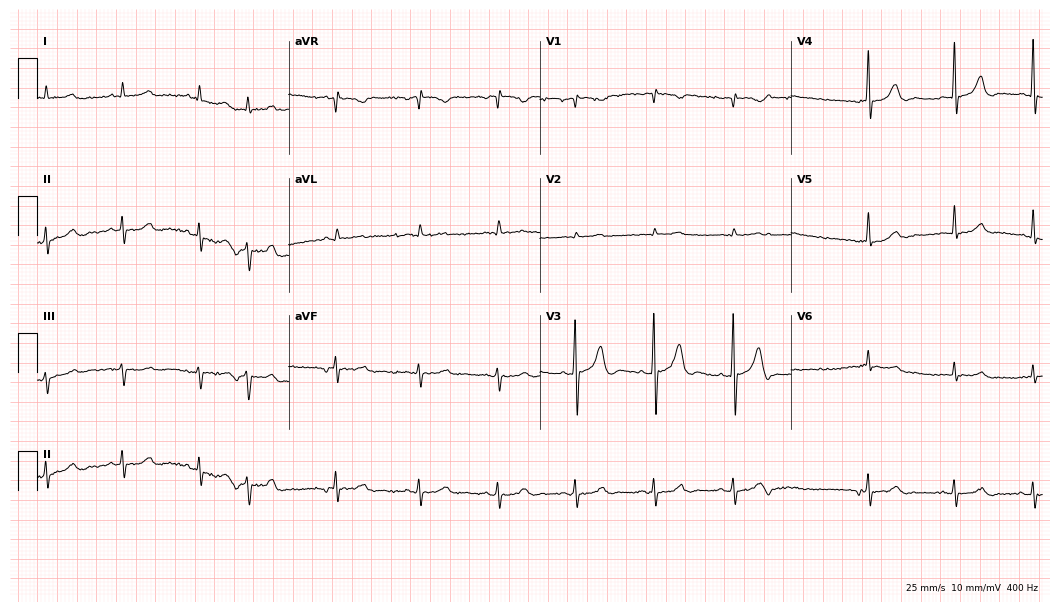
ECG (10.2-second recording at 400 Hz) — a male patient, 84 years old. Screened for six findings — first-degree AV block, right bundle branch block (RBBB), left bundle branch block (LBBB), sinus bradycardia, atrial fibrillation (AF), sinus tachycardia — none is recorded. Only these six findings were labelled.